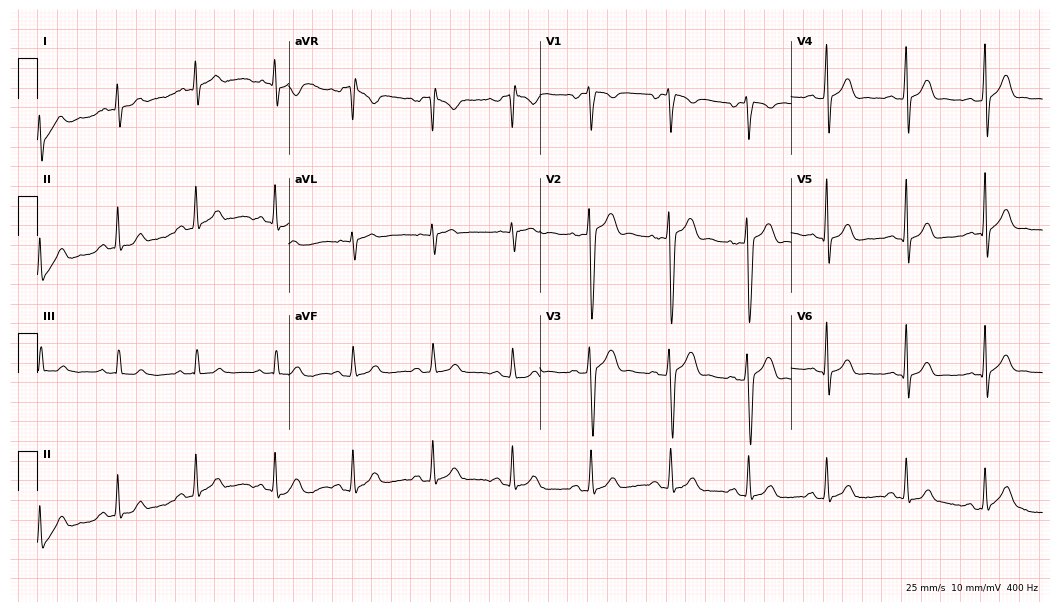
12-lead ECG from a 20-year-old female patient. Recorded interpretation: within normal limits.